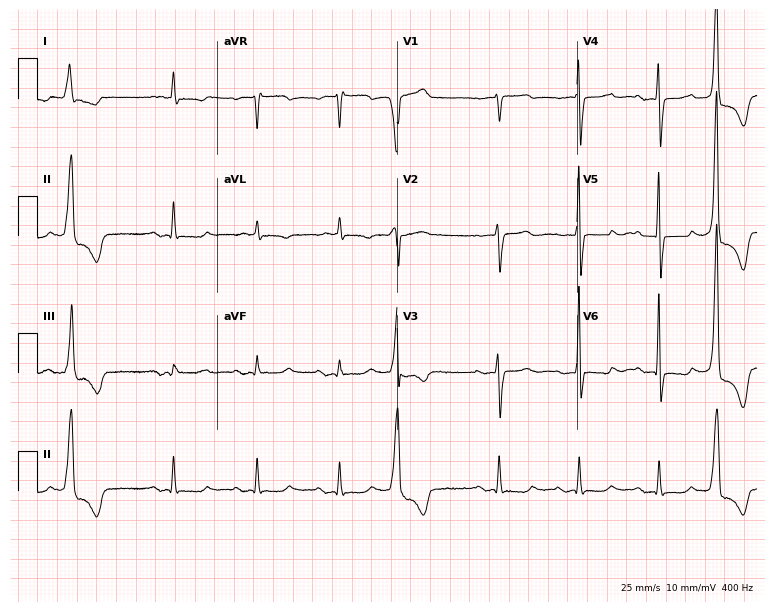
Standard 12-lead ECG recorded from an 80-year-old woman. None of these six findings is recorded: first-degree AV block, right bundle branch block, left bundle branch block, sinus bradycardia, atrial fibrillation, sinus tachycardia.